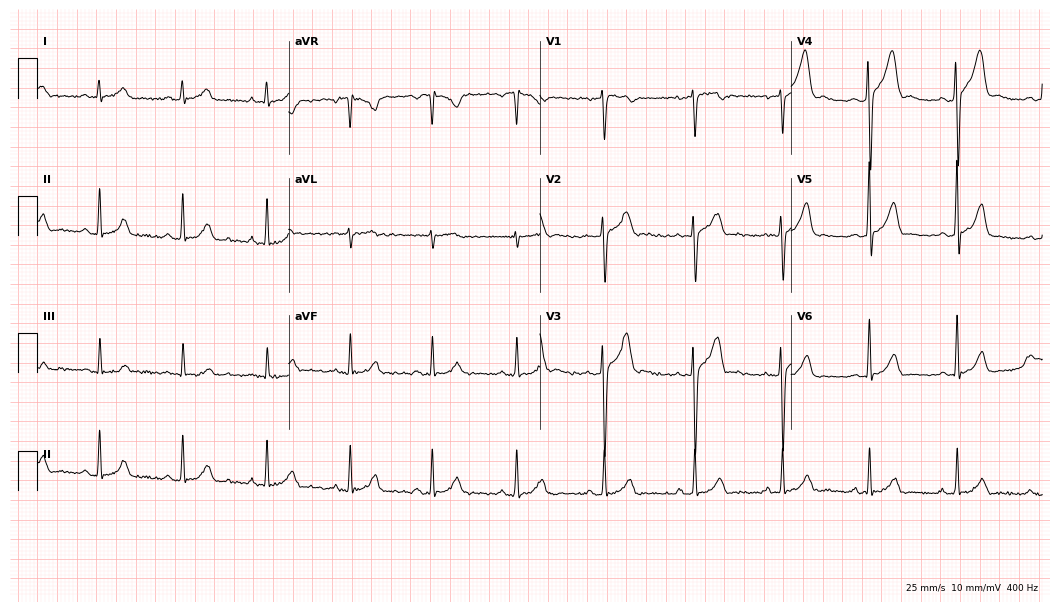
12-lead ECG from a male patient, 27 years old (10.2-second recording at 400 Hz). Recorded interpretation: within normal limits.